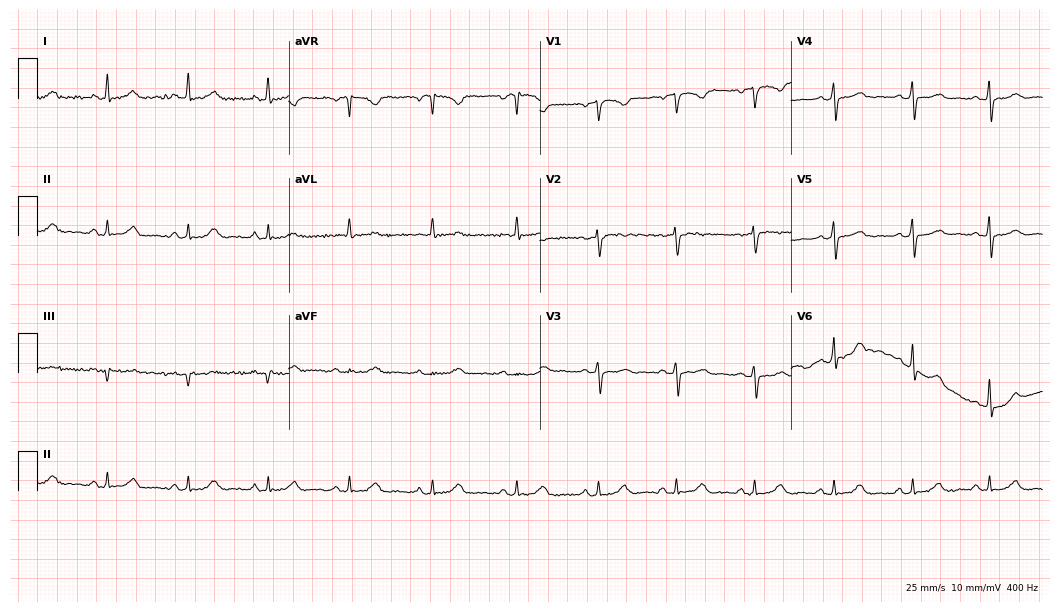
12-lead ECG from a 44-year-old woman (10.2-second recording at 400 Hz). Recorded interpretation: within normal limits.